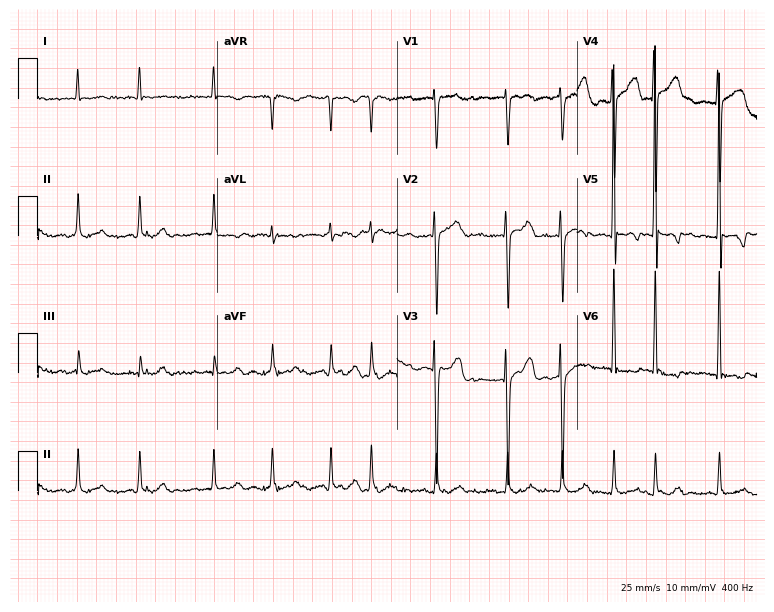
Standard 12-lead ECG recorded from a 78-year-old male. The tracing shows atrial fibrillation.